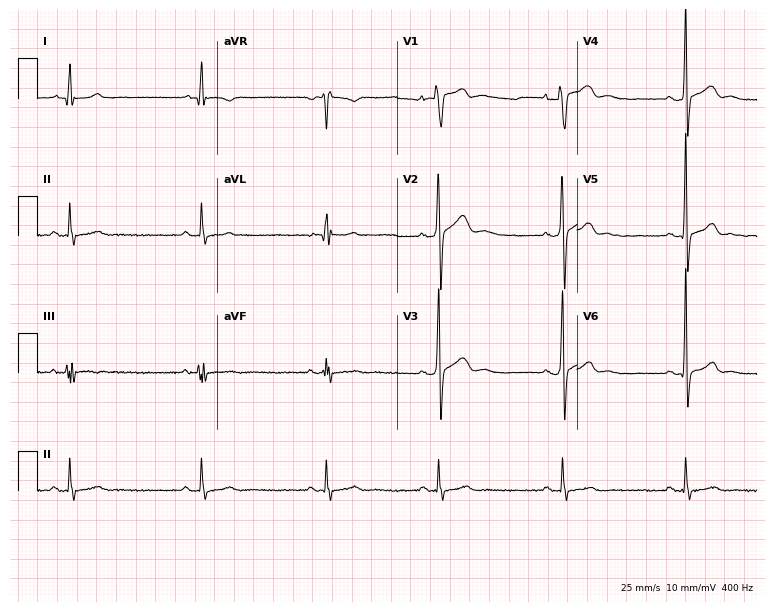
ECG (7.3-second recording at 400 Hz) — a man, 20 years old. Screened for six findings — first-degree AV block, right bundle branch block, left bundle branch block, sinus bradycardia, atrial fibrillation, sinus tachycardia — none is recorded.